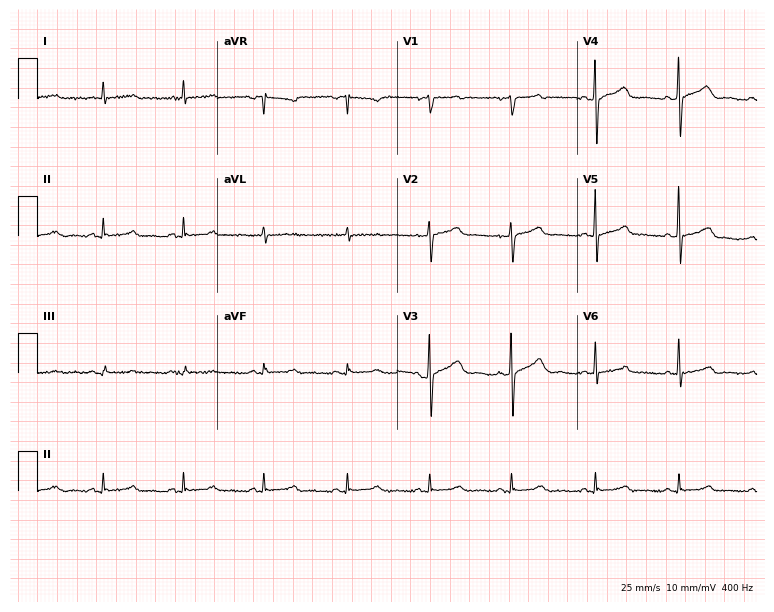
12-lead ECG (7.3-second recording at 400 Hz) from a man, 66 years old. Screened for six findings — first-degree AV block, right bundle branch block, left bundle branch block, sinus bradycardia, atrial fibrillation, sinus tachycardia — none is recorded. Only these six findings were labelled.